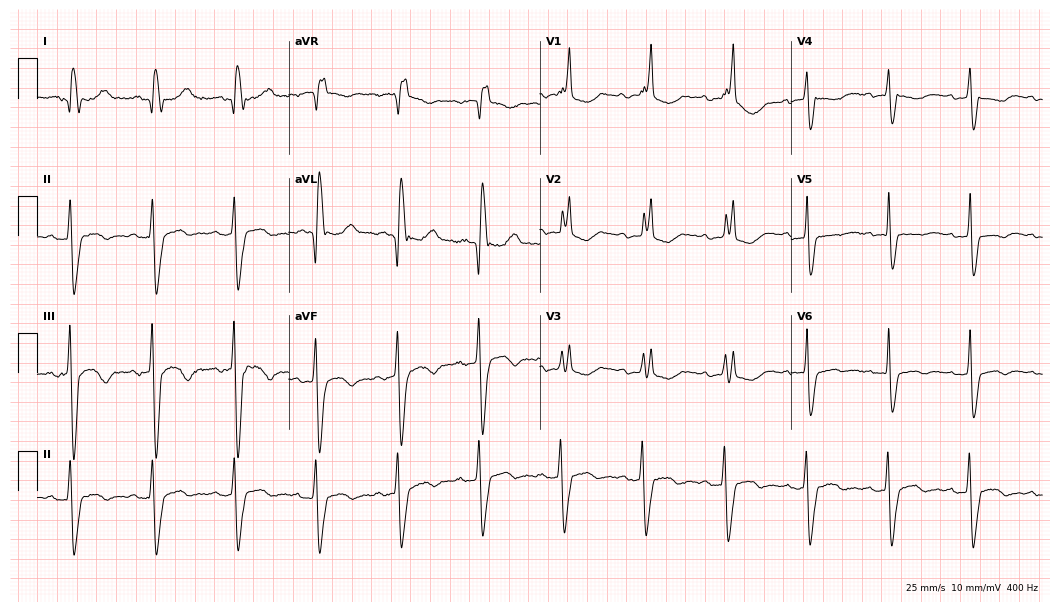
Standard 12-lead ECG recorded from a female patient, 82 years old. The tracing shows right bundle branch block.